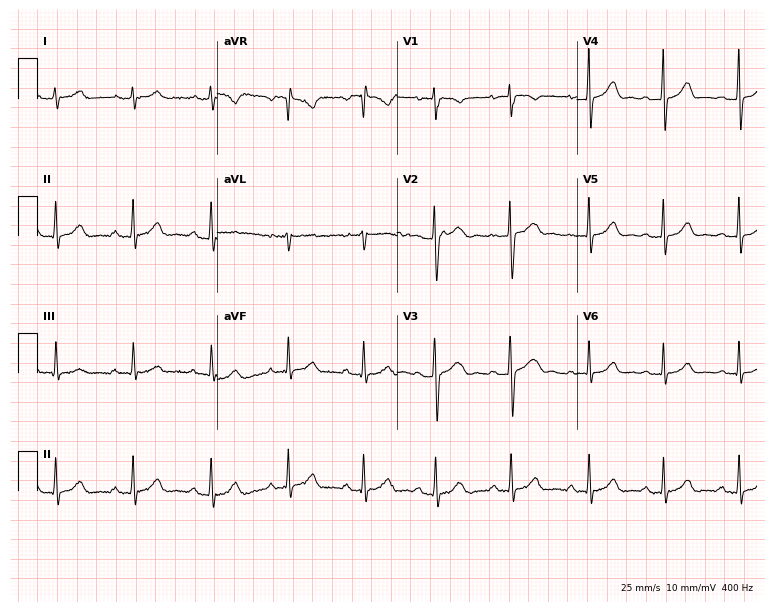
12-lead ECG from a woman, 19 years old. Recorded interpretation: within normal limits.